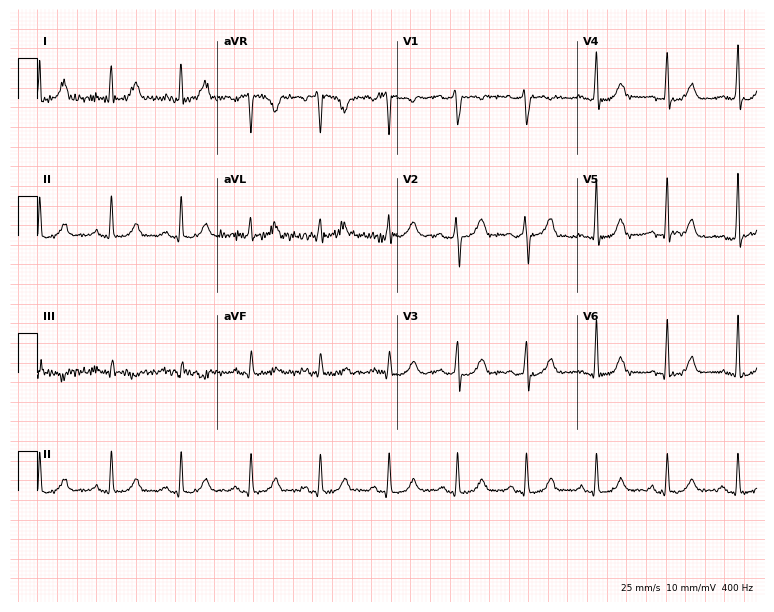
ECG — a female, 49 years old. Labelled as a normal ECG.